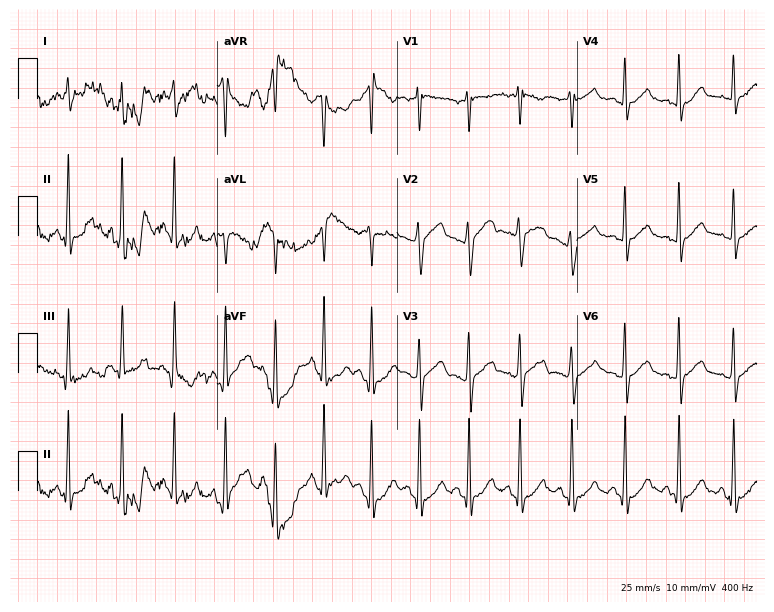
ECG — a 76-year-old male. Findings include sinus tachycardia (a sinus rate of 100 beats per minute or more).